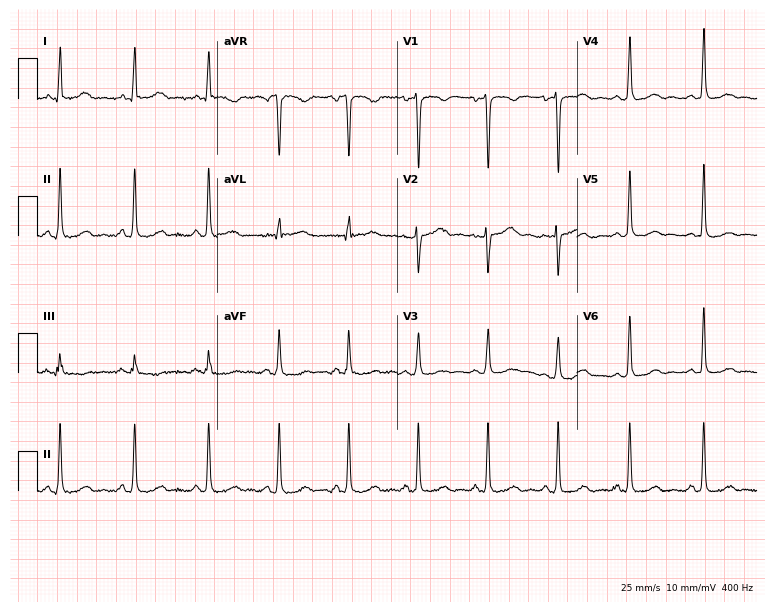
12-lead ECG from a 26-year-old woman (7.3-second recording at 400 Hz). No first-degree AV block, right bundle branch block, left bundle branch block, sinus bradycardia, atrial fibrillation or sinus tachycardia recorded for this tracing. Findings outside these six are not listed.